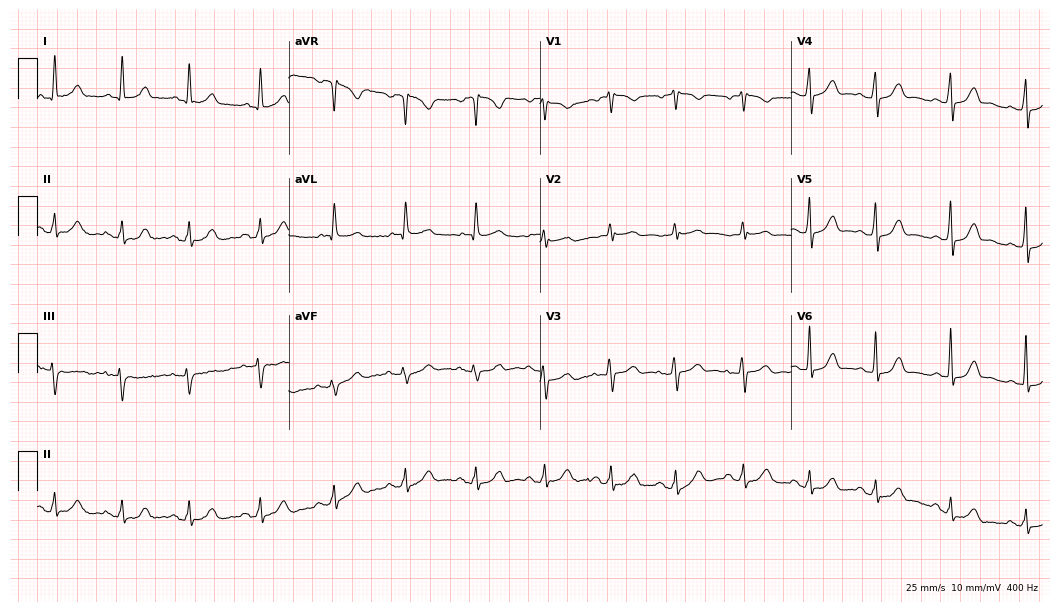
12-lead ECG (10.2-second recording at 400 Hz) from a female patient, 85 years old. Labelled as a normal ECG.